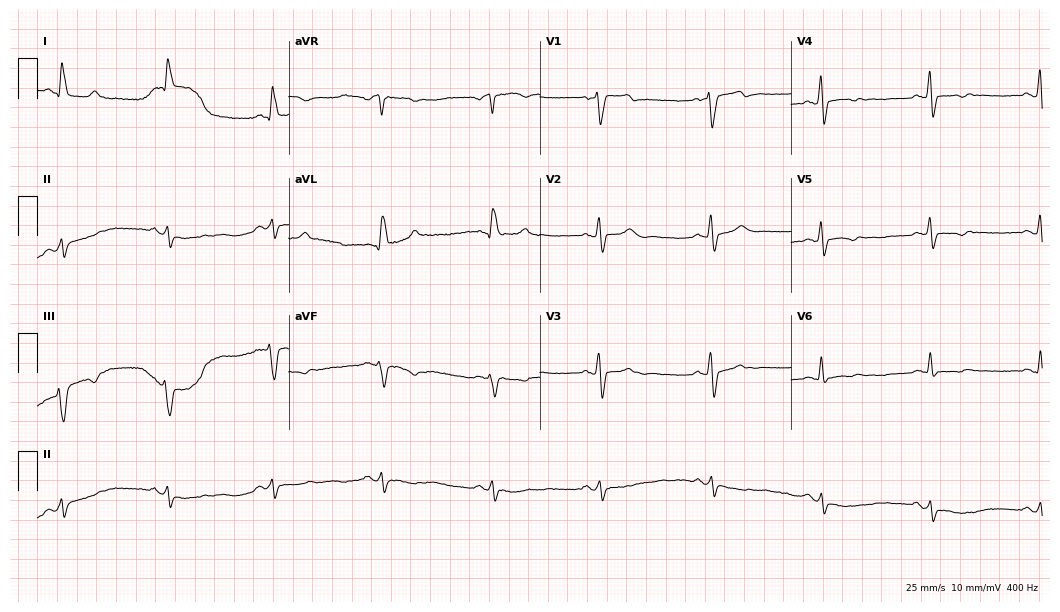
Resting 12-lead electrocardiogram (10.2-second recording at 400 Hz). Patient: a male, 81 years old. None of these six findings is recorded: first-degree AV block, right bundle branch block, left bundle branch block, sinus bradycardia, atrial fibrillation, sinus tachycardia. Findings outside these six are not listed.